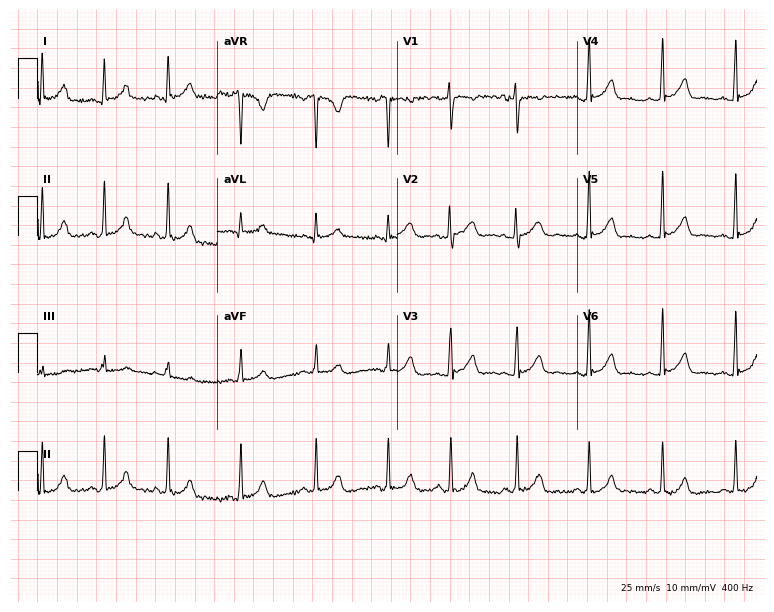
Standard 12-lead ECG recorded from a female patient, 22 years old. Read as a normal ECG.